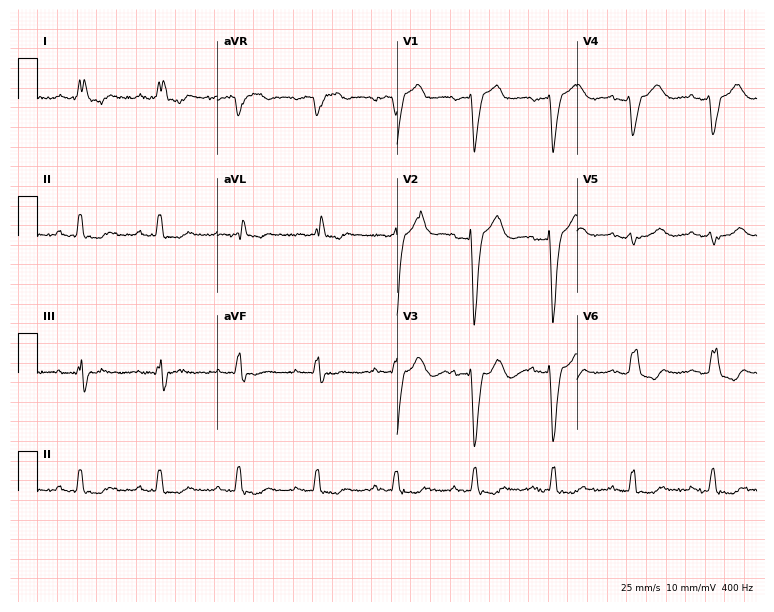
12-lead ECG (7.3-second recording at 400 Hz) from a female patient, 81 years old. Findings include left bundle branch block.